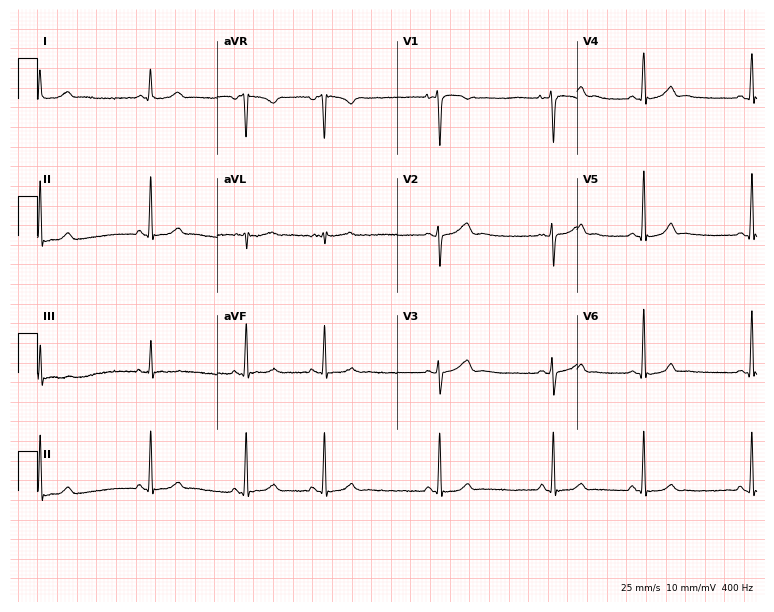
Electrocardiogram, a 23-year-old female patient. Overall reading on record: normal ECG.